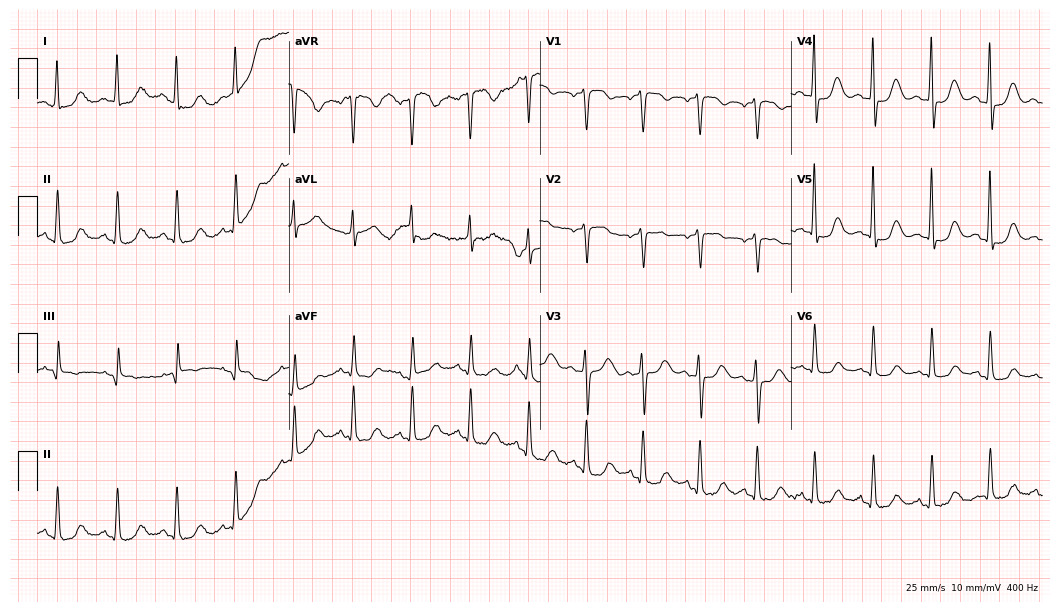
Standard 12-lead ECG recorded from a man, 59 years old. Read as a normal ECG.